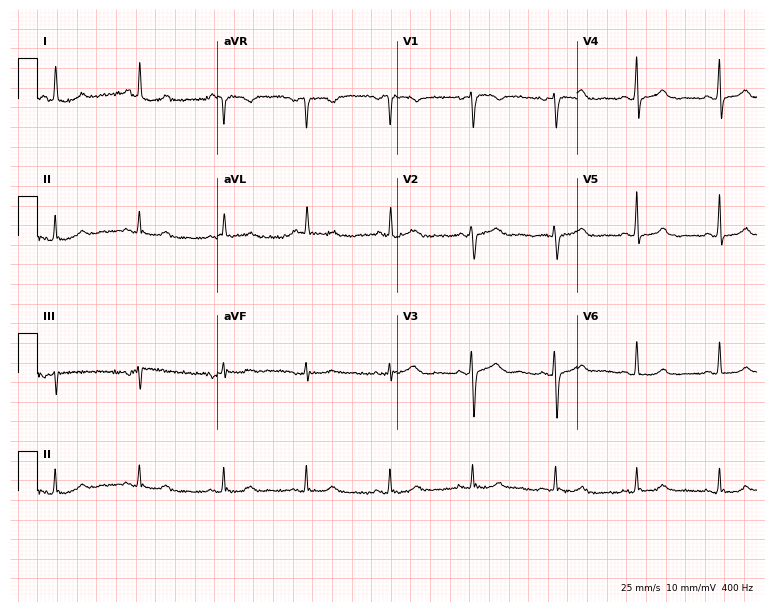
ECG — a 63-year-old female patient. Labelled as a normal ECG.